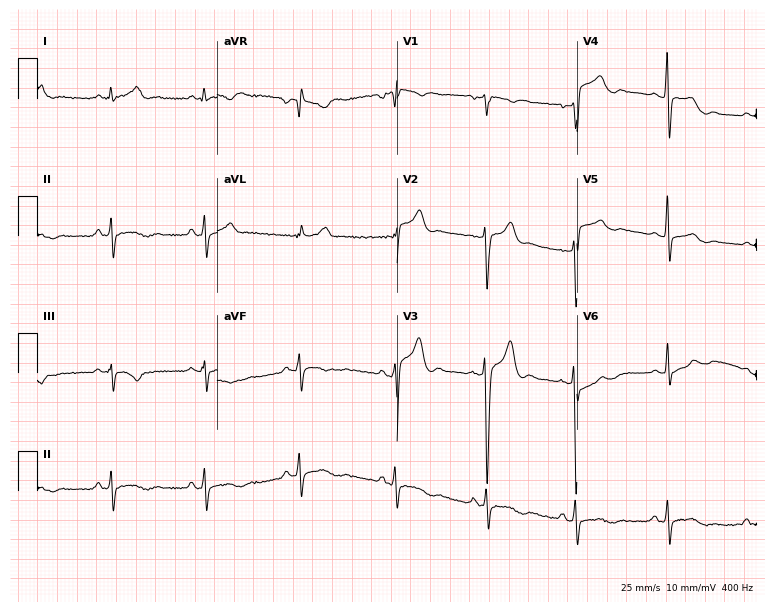
12-lead ECG from a 35-year-old male. Screened for six findings — first-degree AV block, right bundle branch block, left bundle branch block, sinus bradycardia, atrial fibrillation, sinus tachycardia — none is recorded.